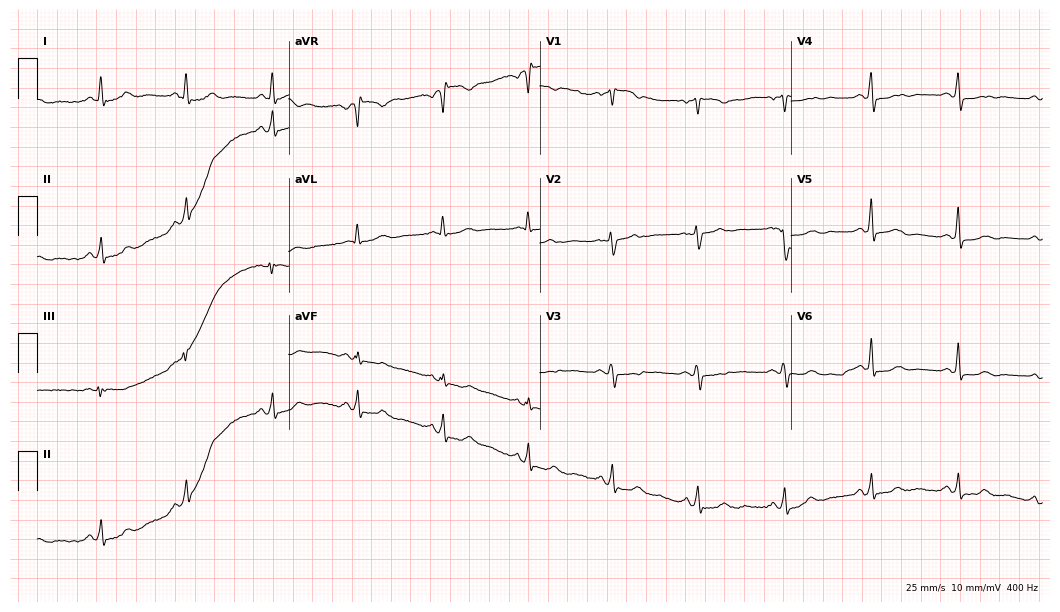
ECG (10.2-second recording at 400 Hz) — a 65-year-old female patient. Screened for six findings — first-degree AV block, right bundle branch block, left bundle branch block, sinus bradycardia, atrial fibrillation, sinus tachycardia — none is recorded.